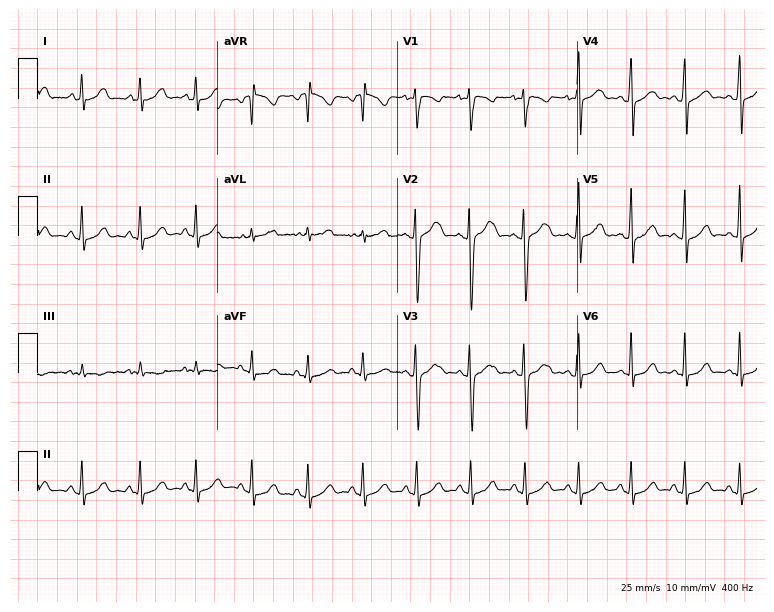
12-lead ECG from a female, 18 years old (7.3-second recording at 400 Hz). Shows sinus tachycardia (a sinus rate of 100 beats per minute or more).